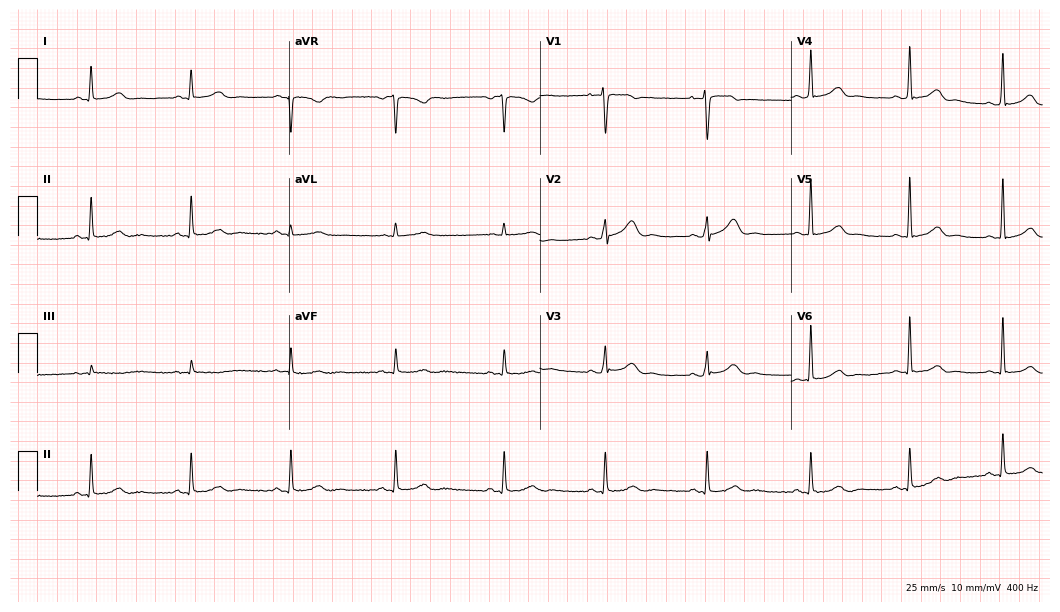
12-lead ECG from a 30-year-old woman. Labelled as a normal ECG.